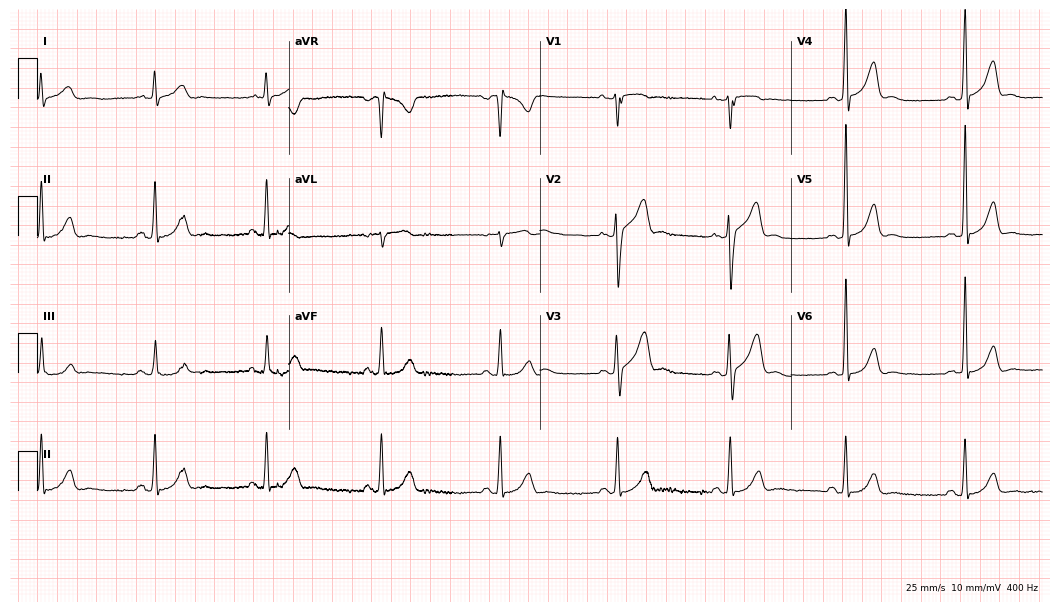
12-lead ECG from a male patient, 43 years old. Screened for six findings — first-degree AV block, right bundle branch block (RBBB), left bundle branch block (LBBB), sinus bradycardia, atrial fibrillation (AF), sinus tachycardia — none is recorded. Other findings, if any, are not listed.